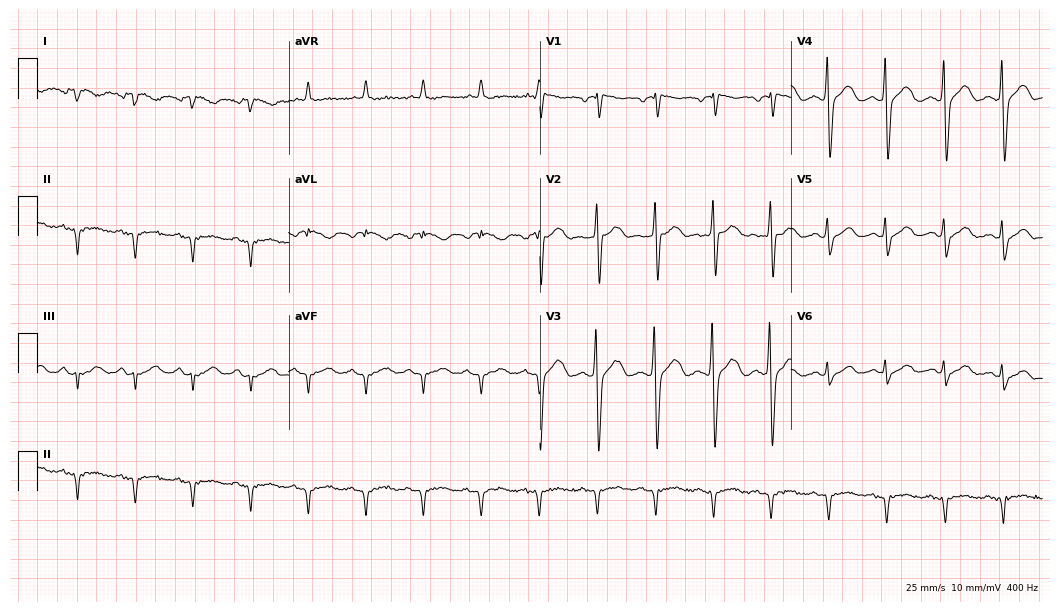
Electrocardiogram, a male patient, 59 years old. Of the six screened findings (first-degree AV block, right bundle branch block (RBBB), left bundle branch block (LBBB), sinus bradycardia, atrial fibrillation (AF), sinus tachycardia), none is recorded.